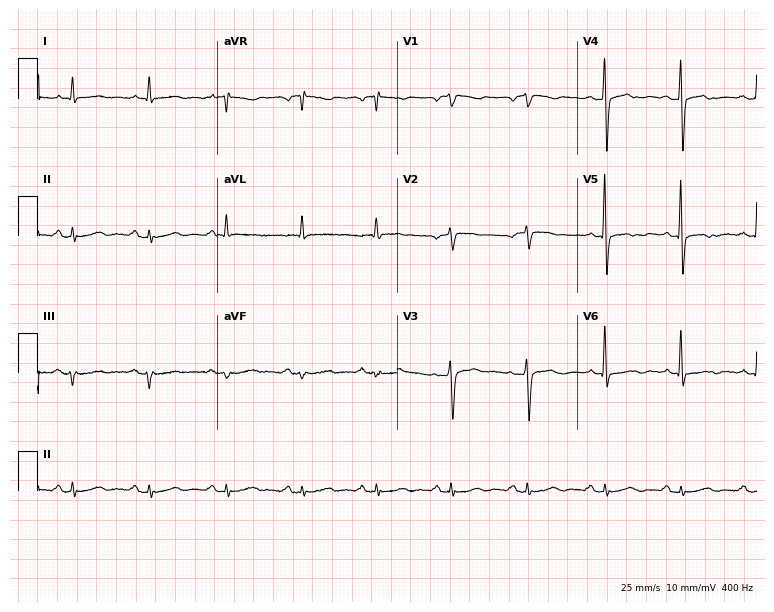
Standard 12-lead ECG recorded from an 84-year-old male patient (7.3-second recording at 400 Hz). None of these six findings is recorded: first-degree AV block, right bundle branch block, left bundle branch block, sinus bradycardia, atrial fibrillation, sinus tachycardia.